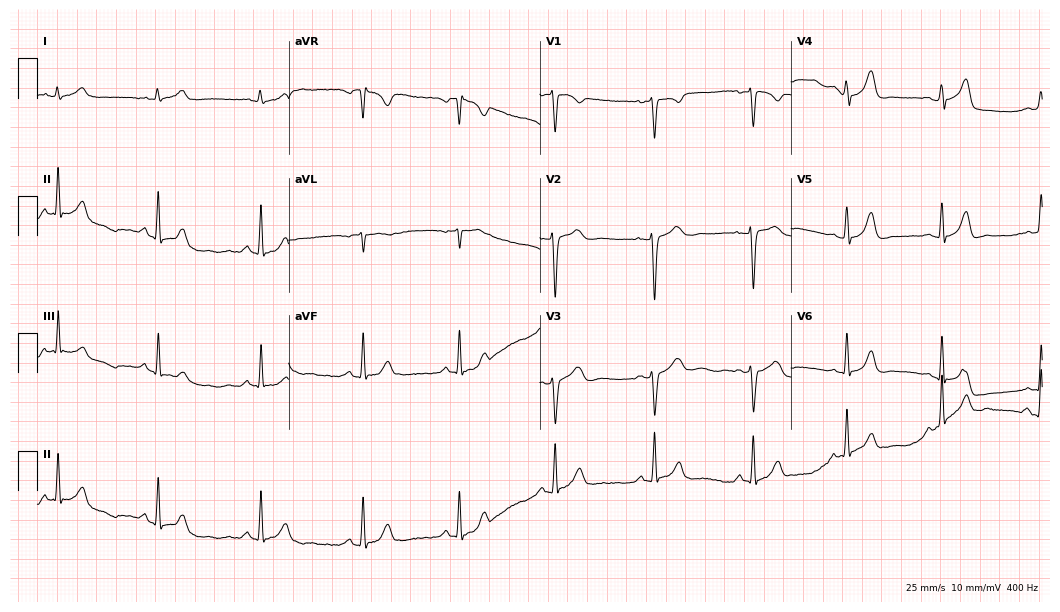
Standard 12-lead ECG recorded from a female, 33 years old. Read as a normal ECG.